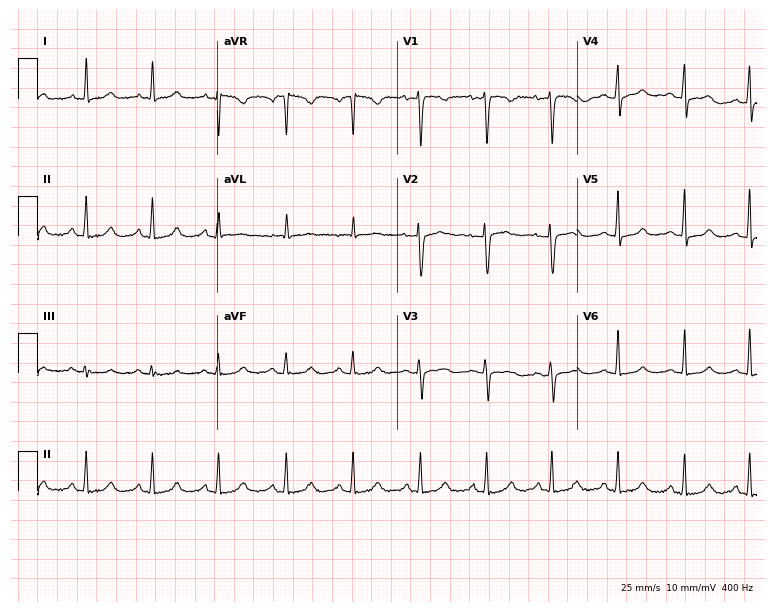
ECG — a 51-year-old female. Labelled as a normal ECG.